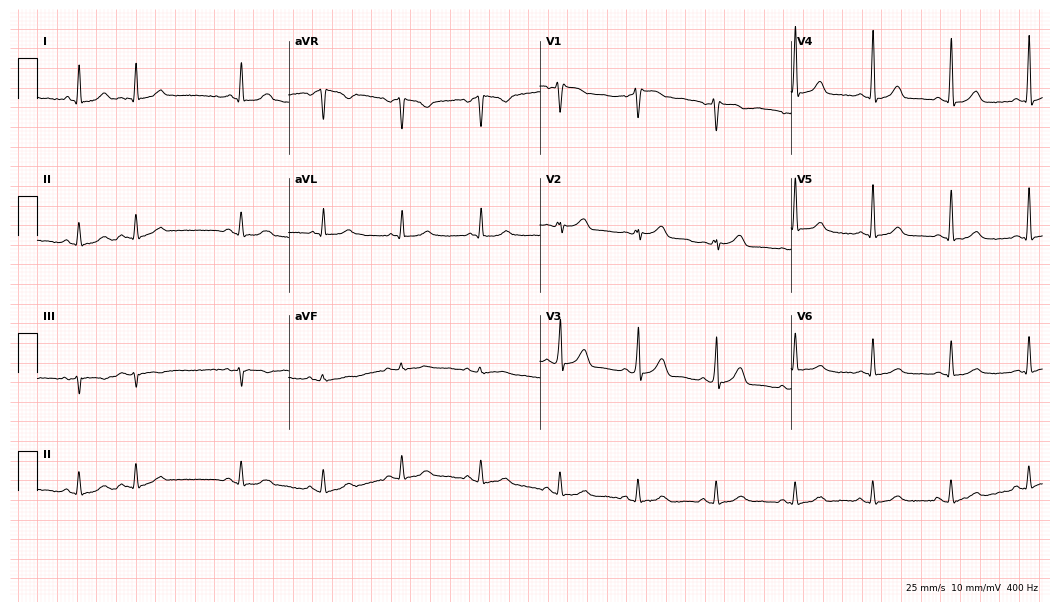
12-lead ECG from a male, 64 years old. Recorded interpretation: within normal limits.